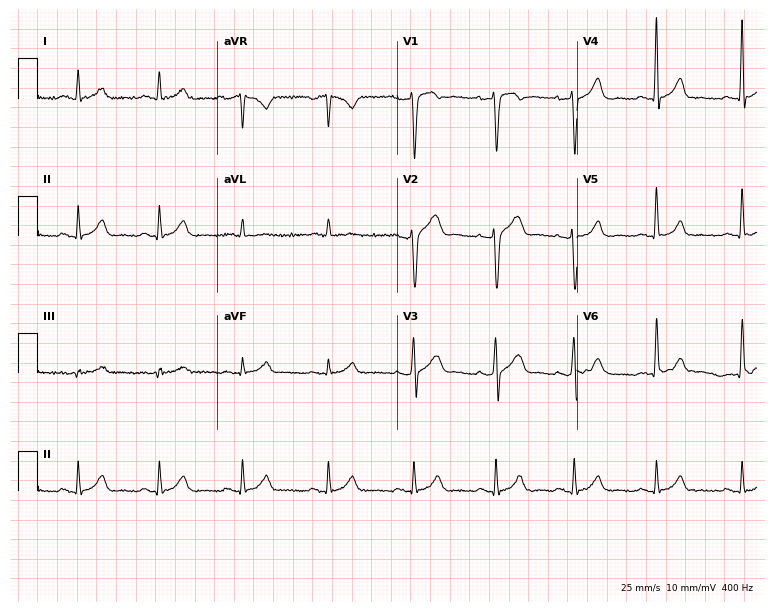
ECG (7.3-second recording at 400 Hz) — a 33-year-old male. Screened for six findings — first-degree AV block, right bundle branch block, left bundle branch block, sinus bradycardia, atrial fibrillation, sinus tachycardia — none is recorded. Only these six findings were labelled.